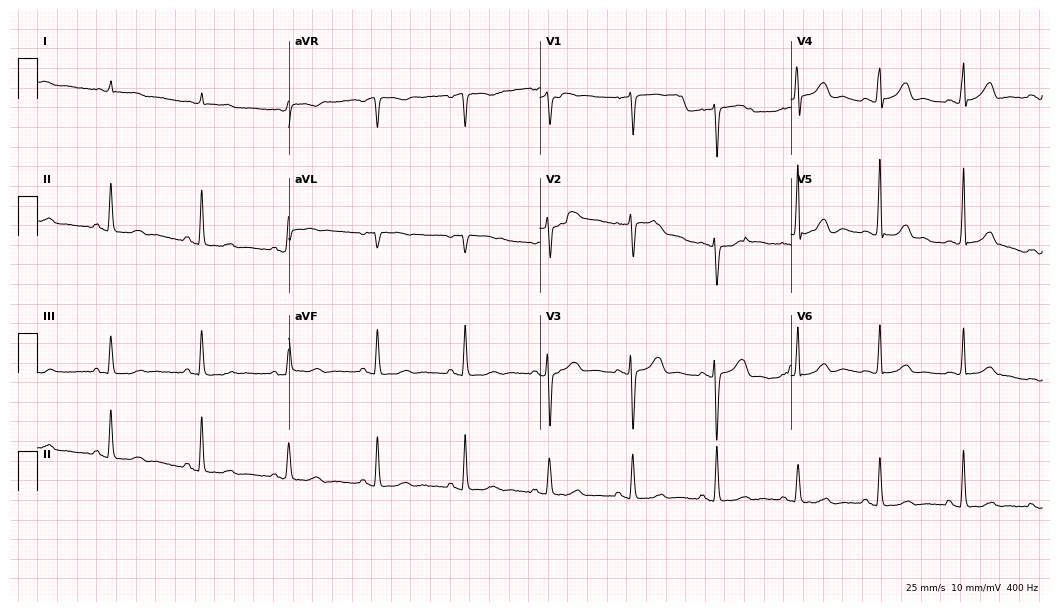
Resting 12-lead electrocardiogram. Patient: a 68-year-old female. None of these six findings is recorded: first-degree AV block, right bundle branch block (RBBB), left bundle branch block (LBBB), sinus bradycardia, atrial fibrillation (AF), sinus tachycardia.